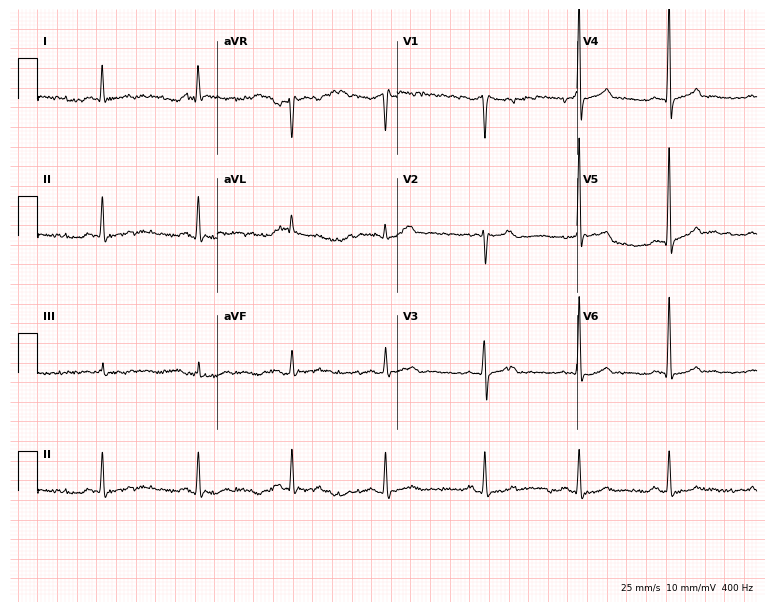
Standard 12-lead ECG recorded from a man, 33 years old (7.3-second recording at 400 Hz). None of these six findings is recorded: first-degree AV block, right bundle branch block, left bundle branch block, sinus bradycardia, atrial fibrillation, sinus tachycardia.